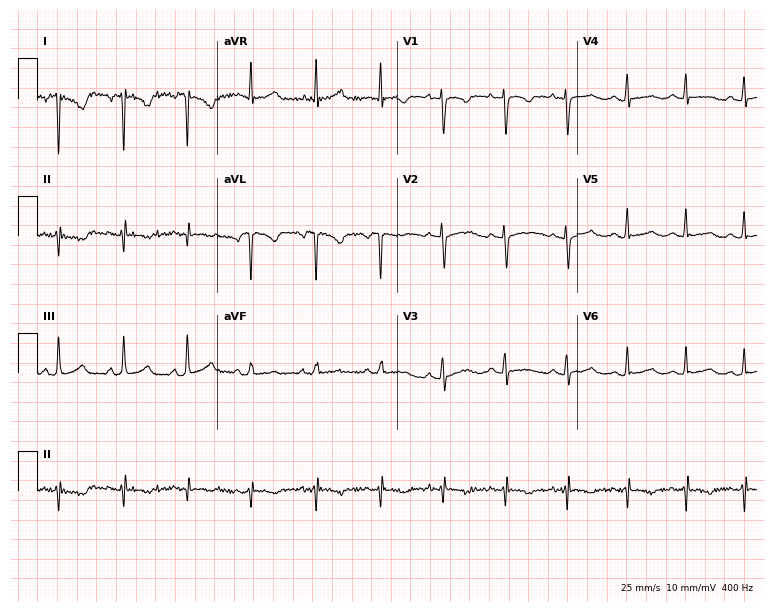
12-lead ECG from a 25-year-old female. Screened for six findings — first-degree AV block, right bundle branch block, left bundle branch block, sinus bradycardia, atrial fibrillation, sinus tachycardia — none is recorded. Findings outside these six are not listed.